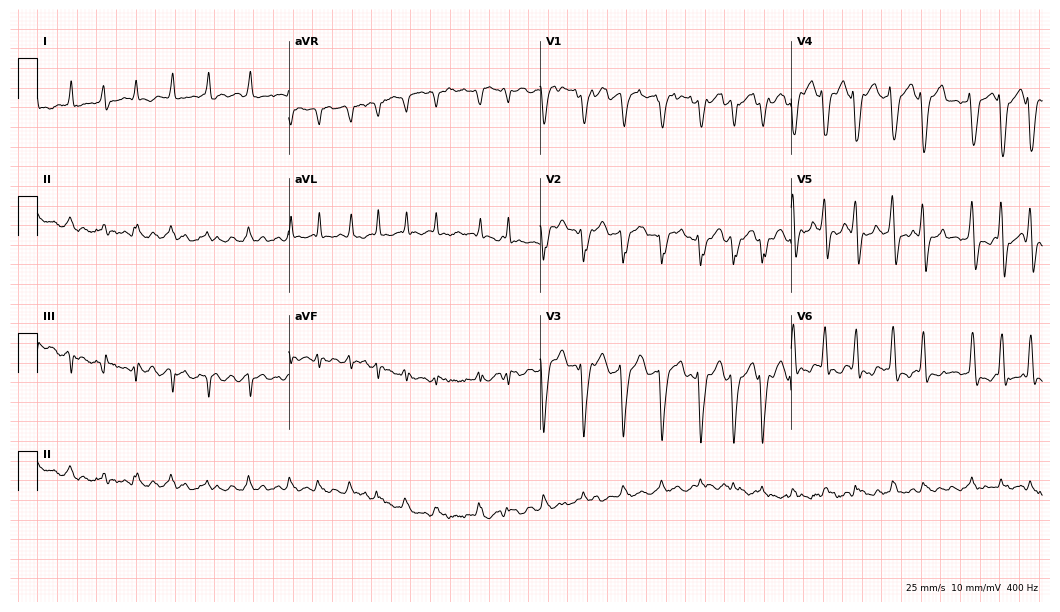
Standard 12-lead ECG recorded from a female patient, 57 years old (10.2-second recording at 400 Hz). The tracing shows atrial fibrillation (AF).